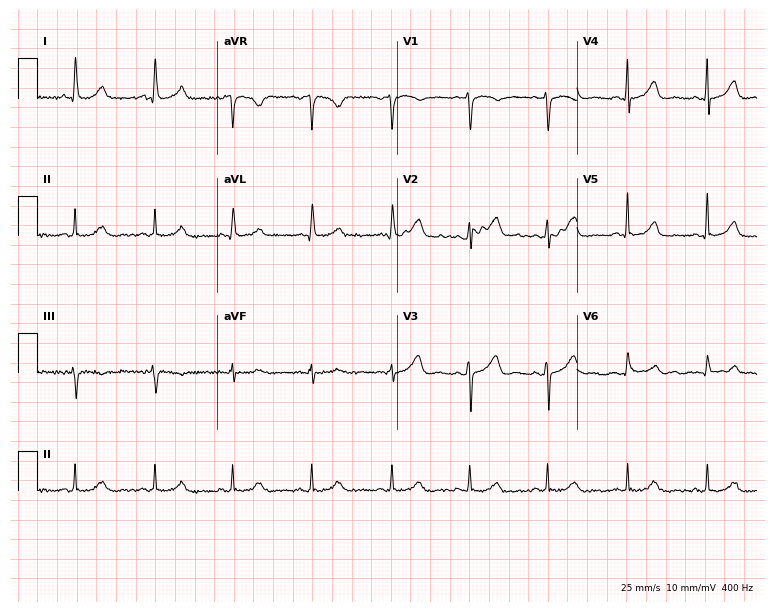
ECG — a 45-year-old female. Screened for six findings — first-degree AV block, right bundle branch block (RBBB), left bundle branch block (LBBB), sinus bradycardia, atrial fibrillation (AF), sinus tachycardia — none is recorded.